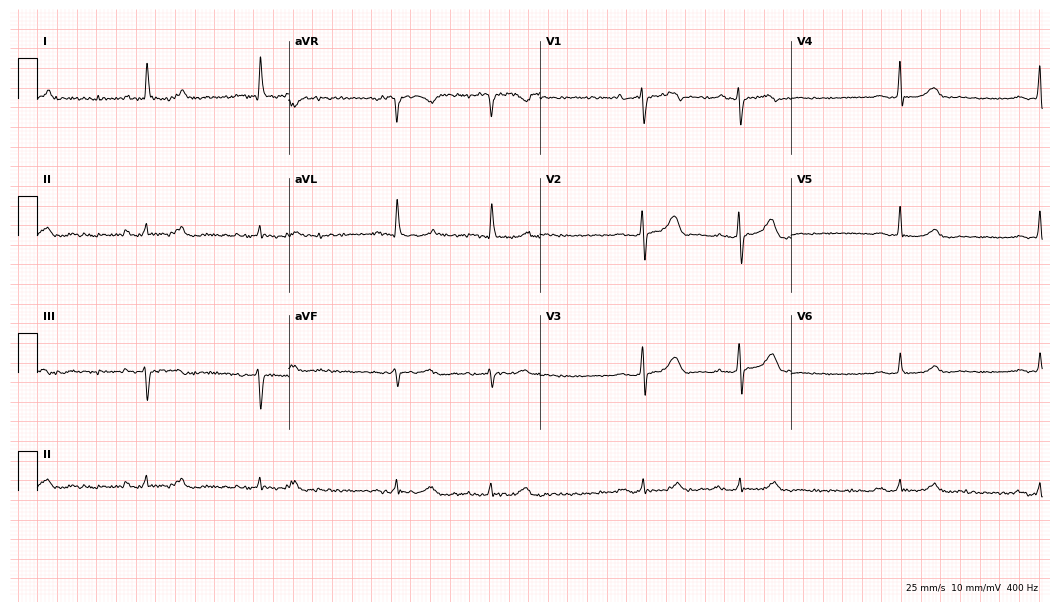
Resting 12-lead electrocardiogram. Patient: a female, 68 years old. None of these six findings is recorded: first-degree AV block, right bundle branch block, left bundle branch block, sinus bradycardia, atrial fibrillation, sinus tachycardia. Only these six findings were labelled.